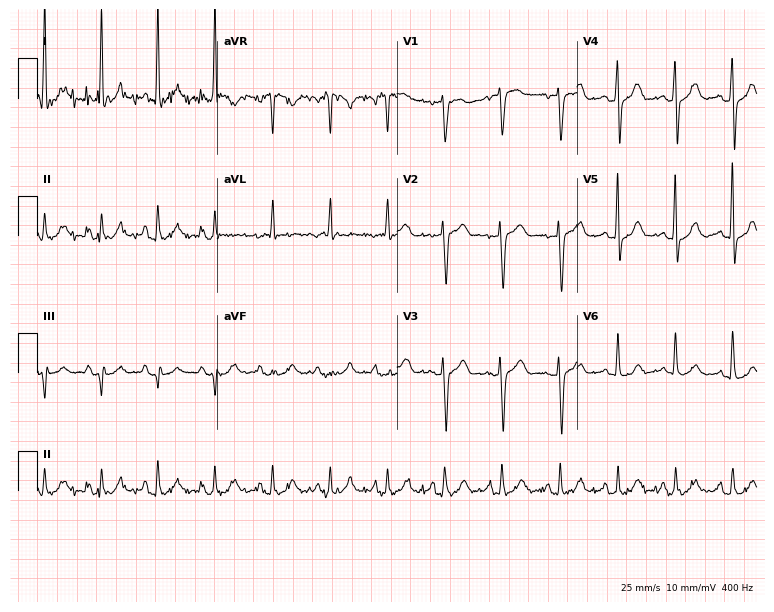
12-lead ECG (7.3-second recording at 400 Hz) from a female, 70 years old. Findings include sinus tachycardia (a sinus rate of 100 beats per minute or more).